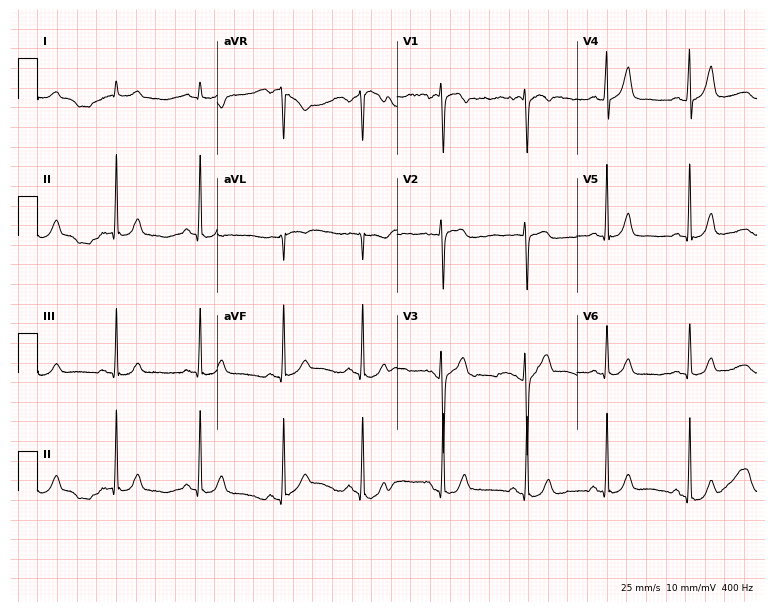
ECG (7.3-second recording at 400 Hz) — a female, 34 years old. Labelled as a normal ECG.